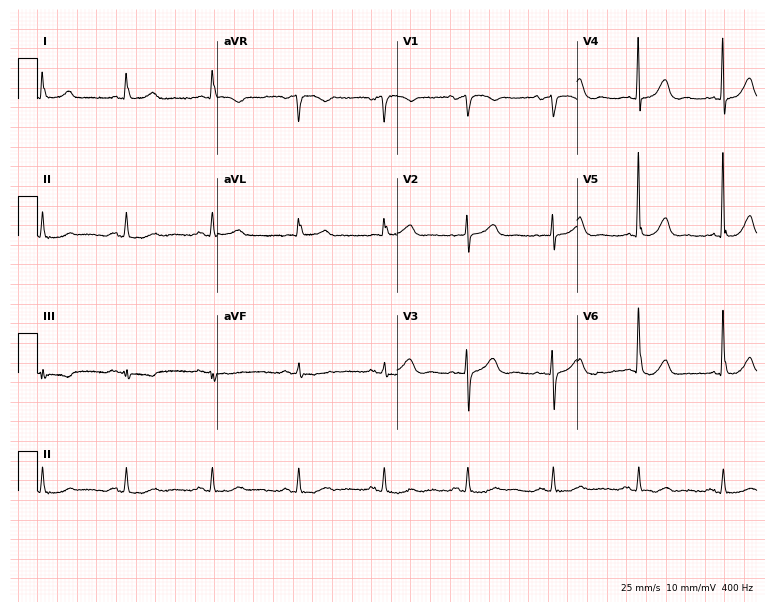
Resting 12-lead electrocardiogram. Patient: a woman, 78 years old. None of these six findings is recorded: first-degree AV block, right bundle branch block, left bundle branch block, sinus bradycardia, atrial fibrillation, sinus tachycardia. Findings outside these six are not listed.